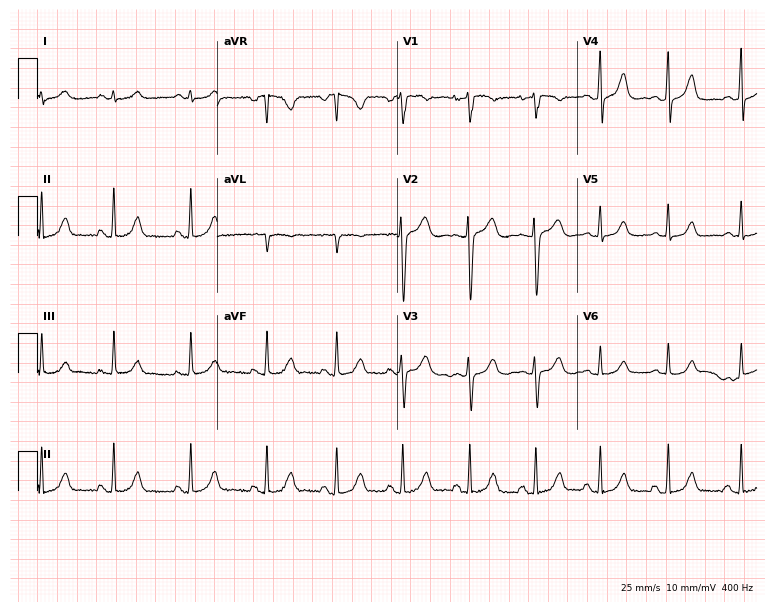
12-lead ECG from a 34-year-old female patient (7.3-second recording at 400 Hz). Recorded interpretation: within normal limits.